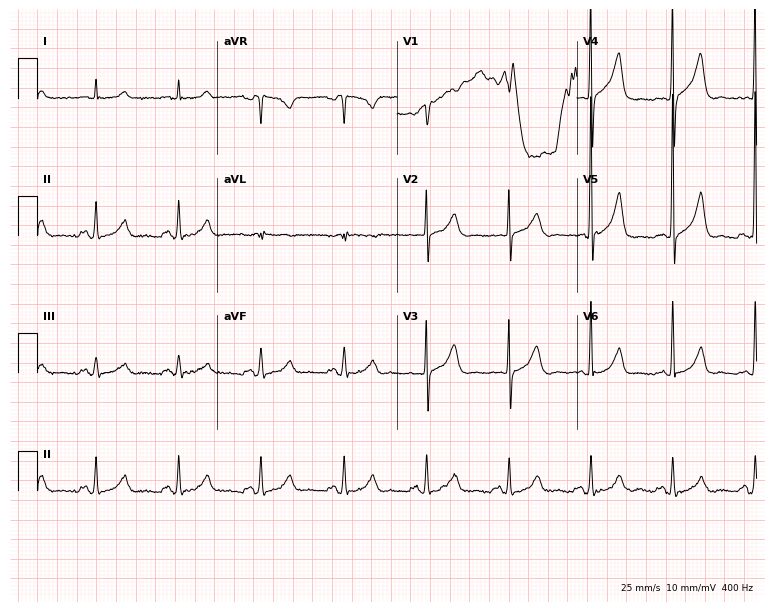
12-lead ECG from a 64-year-old man (7.3-second recording at 400 Hz). No first-degree AV block, right bundle branch block, left bundle branch block, sinus bradycardia, atrial fibrillation or sinus tachycardia recorded for this tracing.